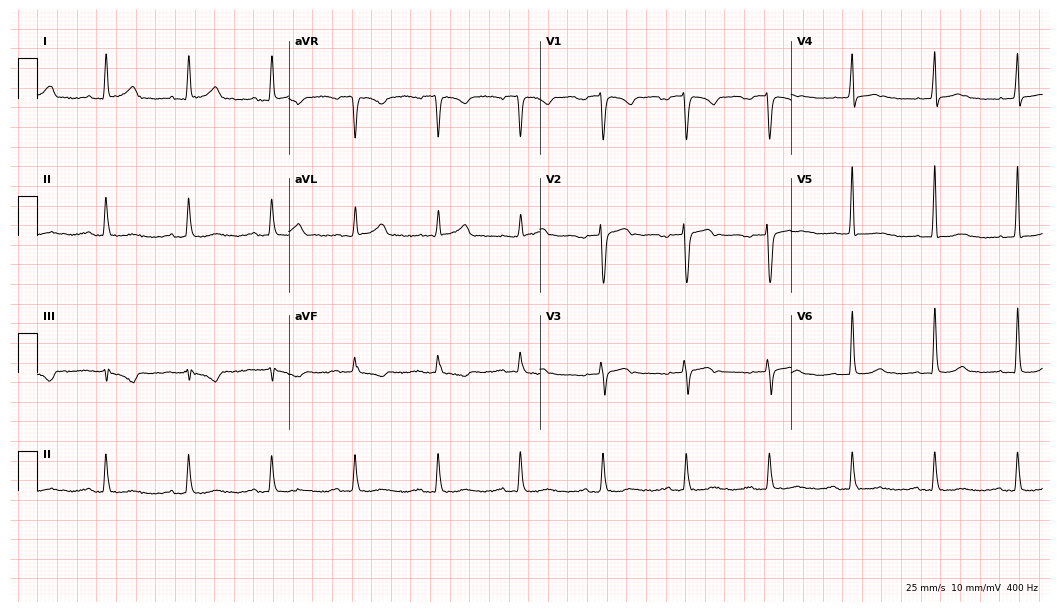
12-lead ECG from a female patient, 56 years old (10.2-second recording at 400 Hz). Recorded interpretation: within normal limits.